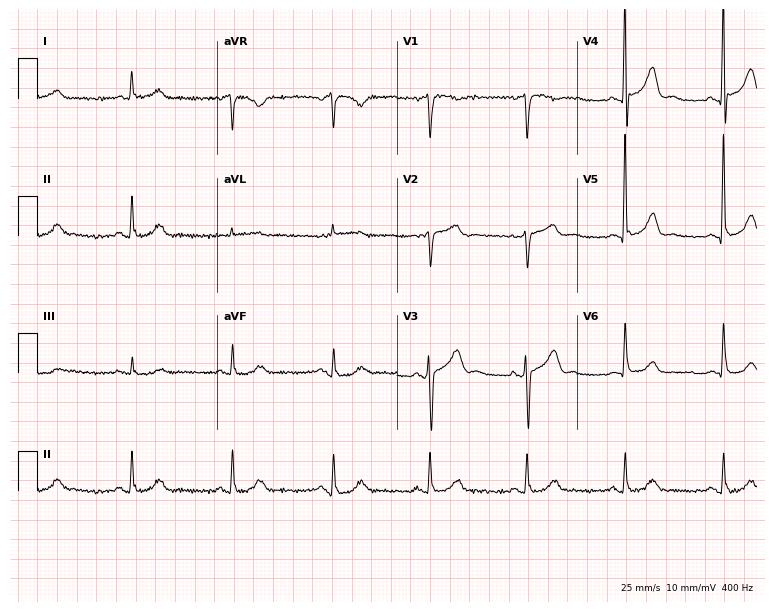
ECG — a man, 67 years old. Screened for six findings — first-degree AV block, right bundle branch block (RBBB), left bundle branch block (LBBB), sinus bradycardia, atrial fibrillation (AF), sinus tachycardia — none is recorded.